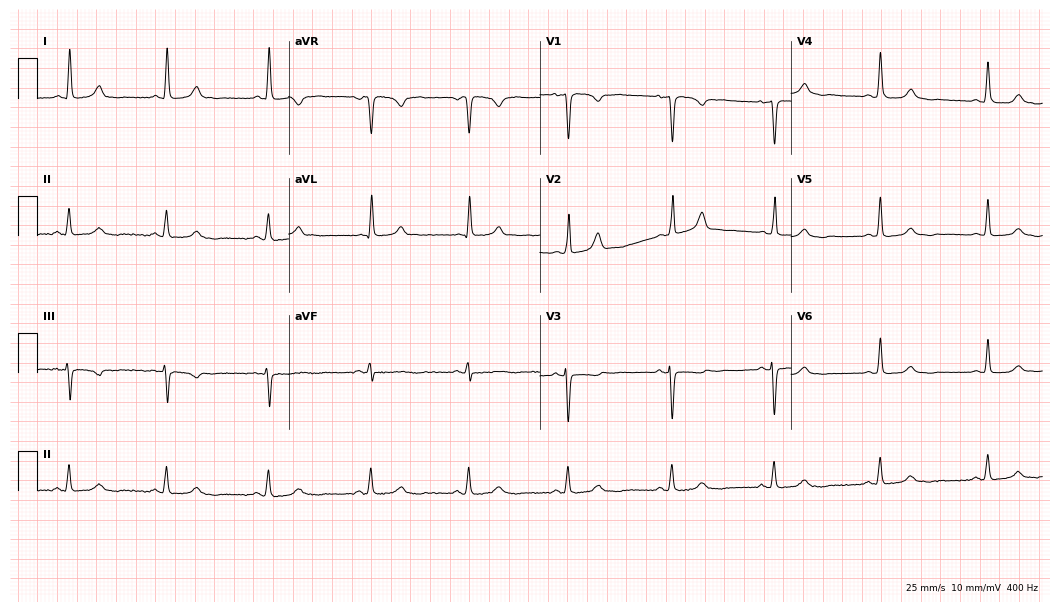
Standard 12-lead ECG recorded from a woman, 71 years old (10.2-second recording at 400 Hz). None of these six findings is recorded: first-degree AV block, right bundle branch block (RBBB), left bundle branch block (LBBB), sinus bradycardia, atrial fibrillation (AF), sinus tachycardia. Findings outside these six are not listed.